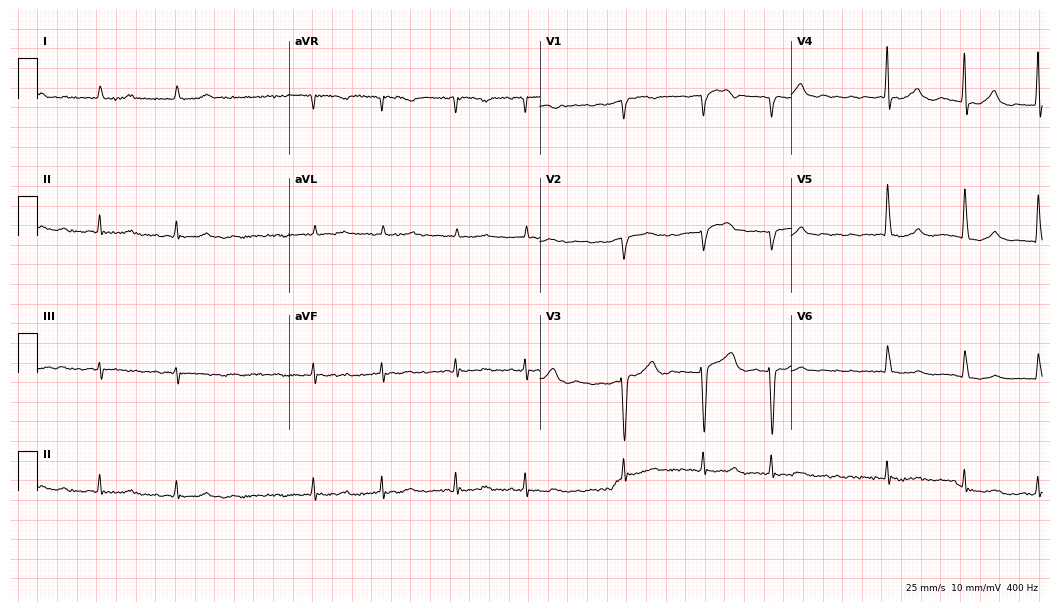
Electrocardiogram, an 85-year-old man. Interpretation includes atrial fibrillation.